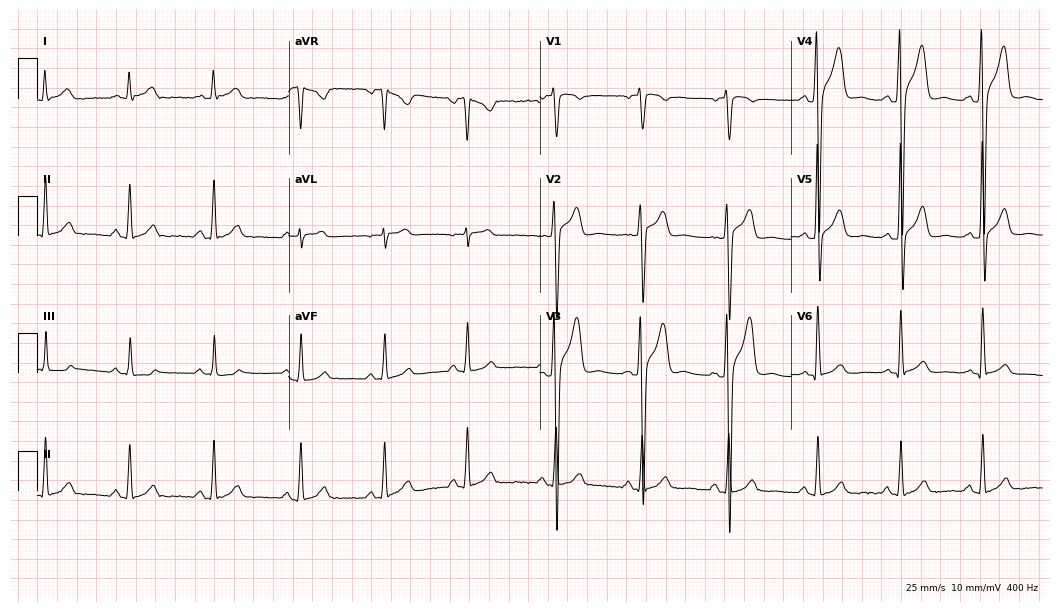
Electrocardiogram, a man, 38 years old. Overall reading on record: normal ECG.